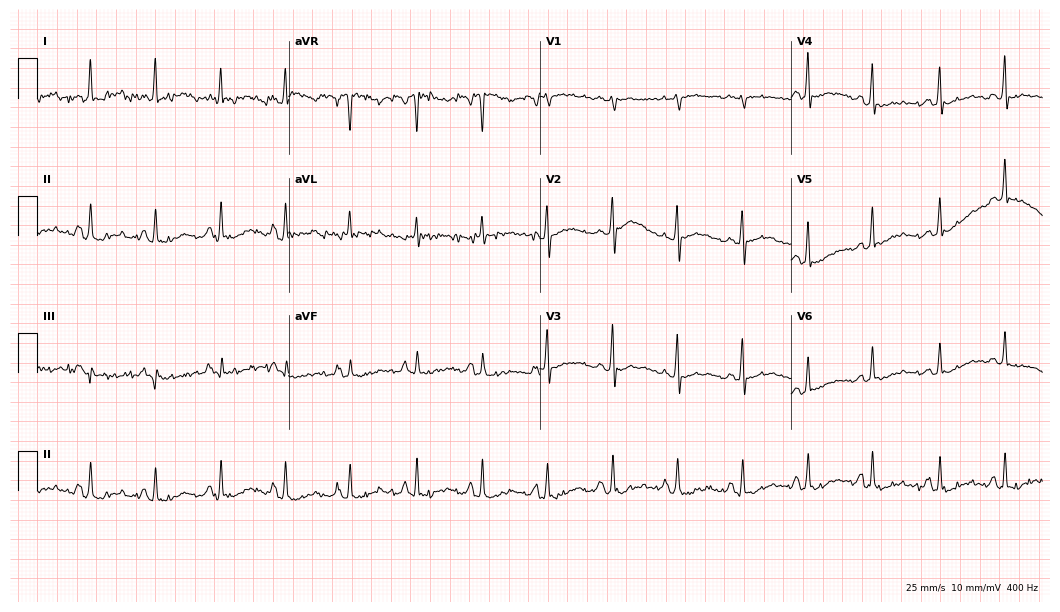
Standard 12-lead ECG recorded from a 57-year-old female patient (10.2-second recording at 400 Hz). None of these six findings is recorded: first-degree AV block, right bundle branch block (RBBB), left bundle branch block (LBBB), sinus bradycardia, atrial fibrillation (AF), sinus tachycardia. Findings outside these six are not listed.